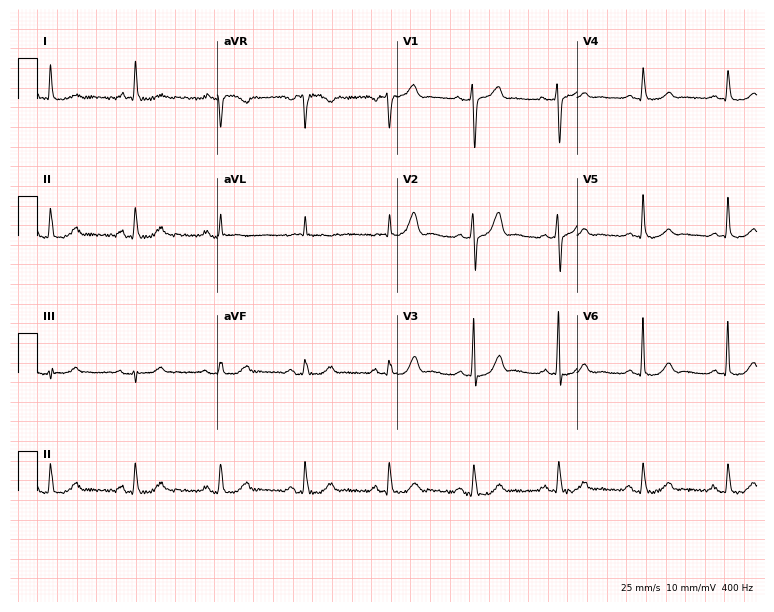
12-lead ECG from a 76-year-old man. Screened for six findings — first-degree AV block, right bundle branch block, left bundle branch block, sinus bradycardia, atrial fibrillation, sinus tachycardia — none is recorded. Findings outside these six are not listed.